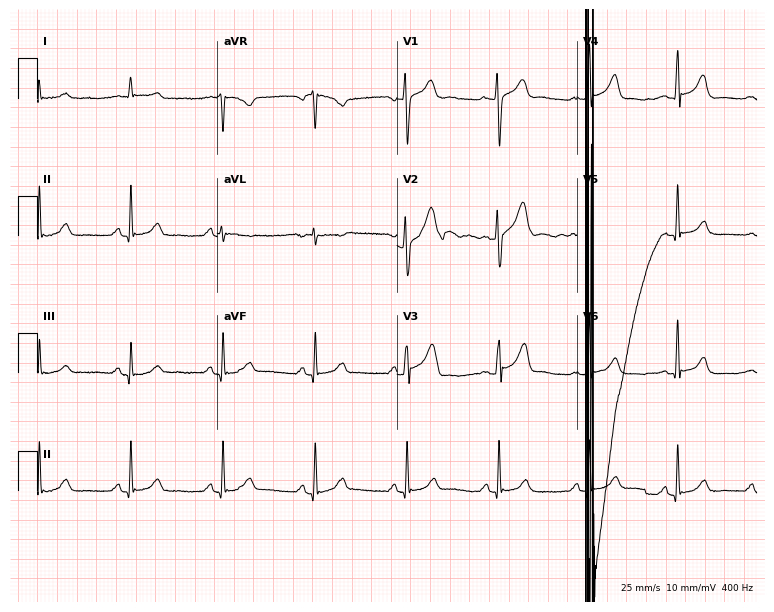
12-lead ECG from a 49-year-old male. Recorded interpretation: within normal limits.